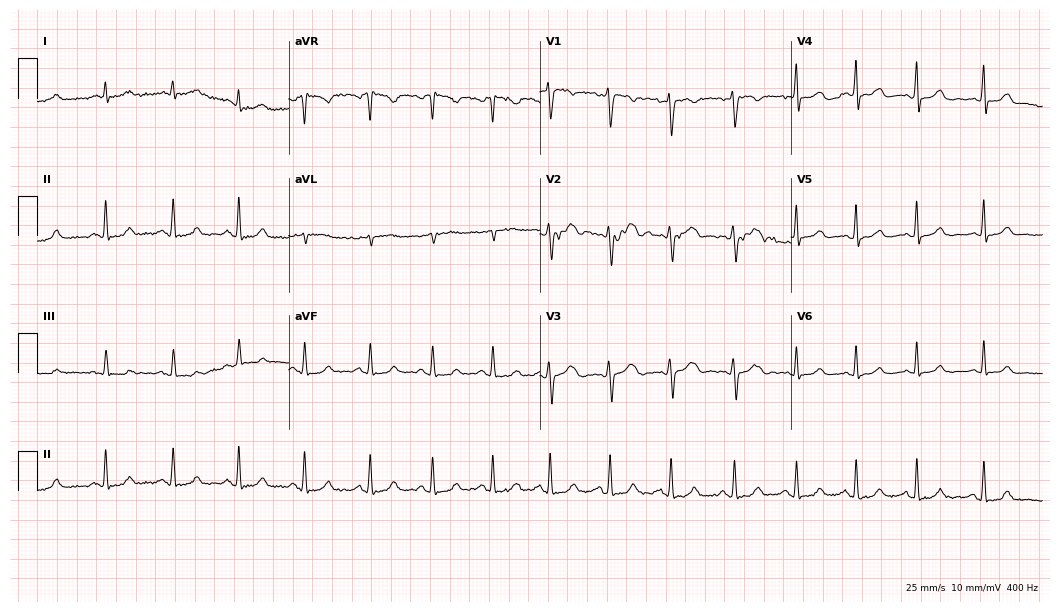
Resting 12-lead electrocardiogram. Patient: a female, 23 years old. None of these six findings is recorded: first-degree AV block, right bundle branch block, left bundle branch block, sinus bradycardia, atrial fibrillation, sinus tachycardia. Findings outside these six are not listed.